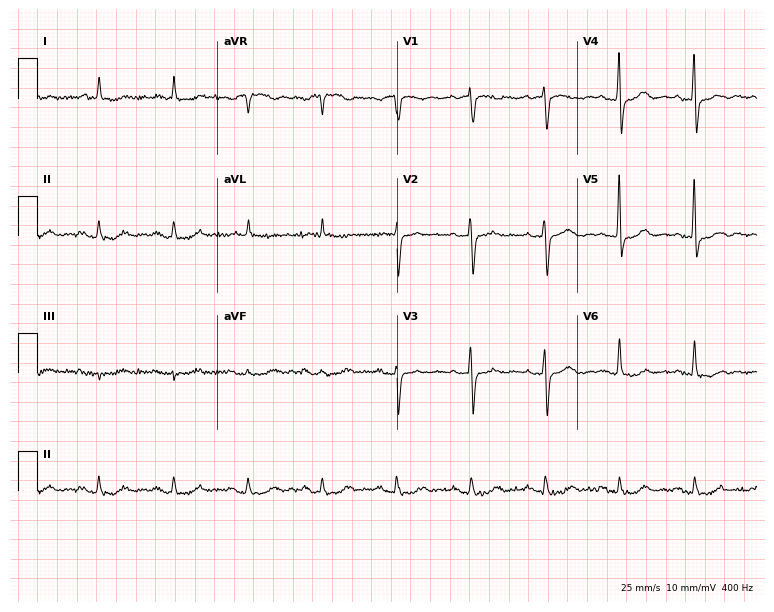
Resting 12-lead electrocardiogram (7.3-second recording at 400 Hz). Patient: an 84-year-old female. None of these six findings is recorded: first-degree AV block, right bundle branch block, left bundle branch block, sinus bradycardia, atrial fibrillation, sinus tachycardia.